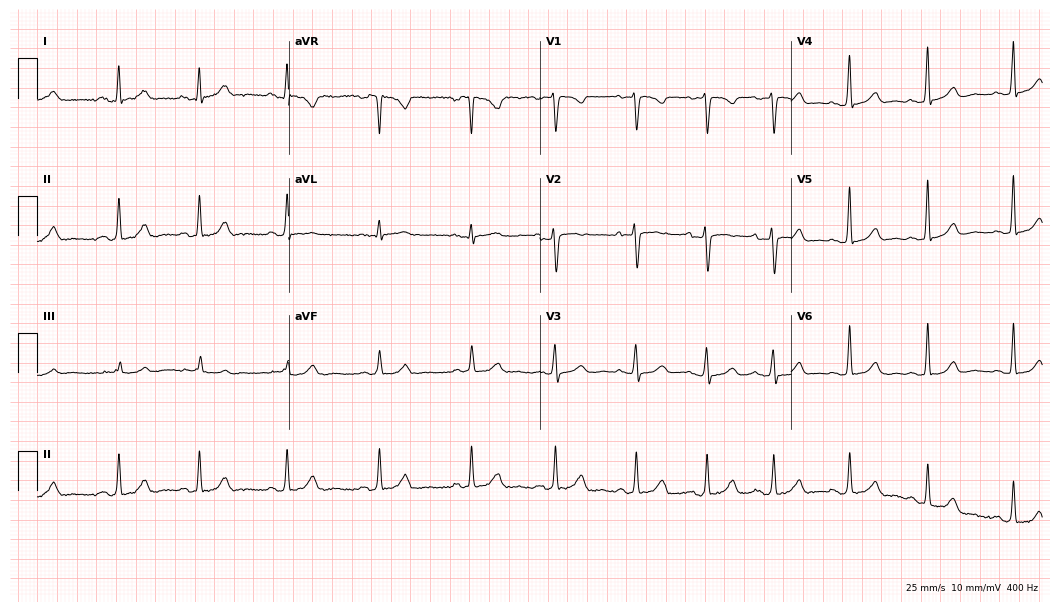
Electrocardiogram, a 33-year-old female. Overall reading on record: normal ECG.